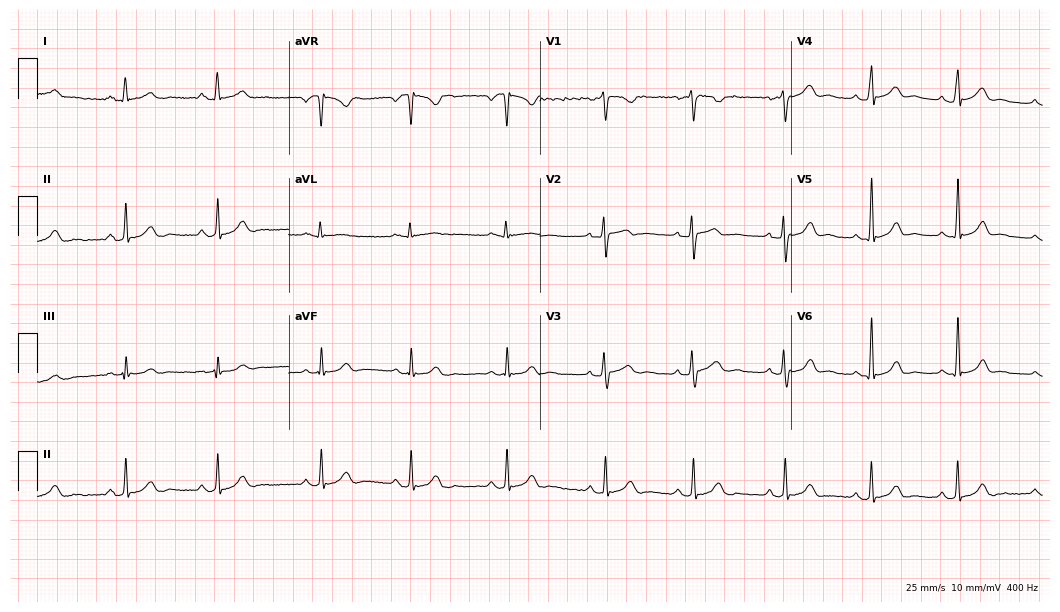
Resting 12-lead electrocardiogram. Patient: a woman, 27 years old. Read as a normal ECG.